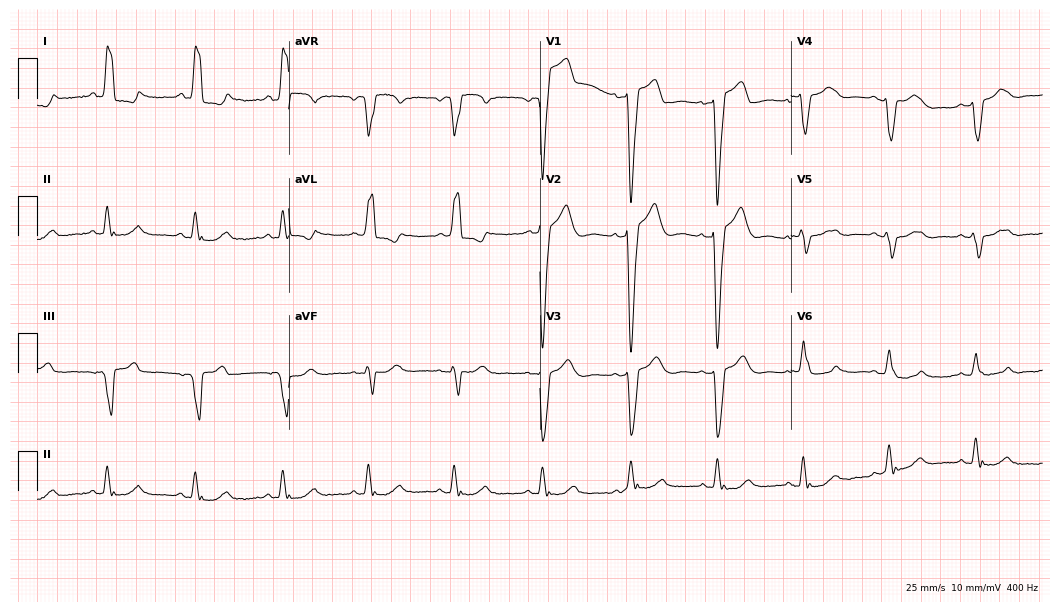
12-lead ECG (10.2-second recording at 400 Hz) from a 65-year-old female. Findings include left bundle branch block.